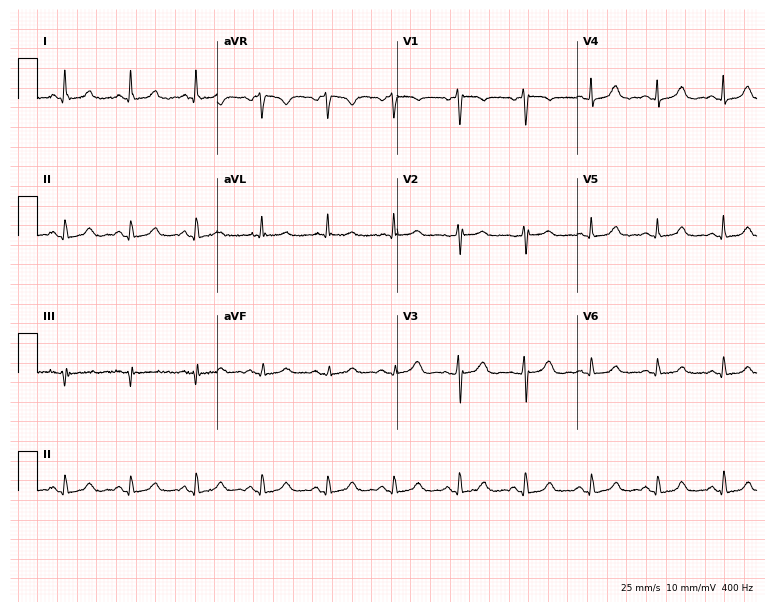
12-lead ECG (7.3-second recording at 400 Hz) from a 77-year-old female. Labelled as a normal ECG.